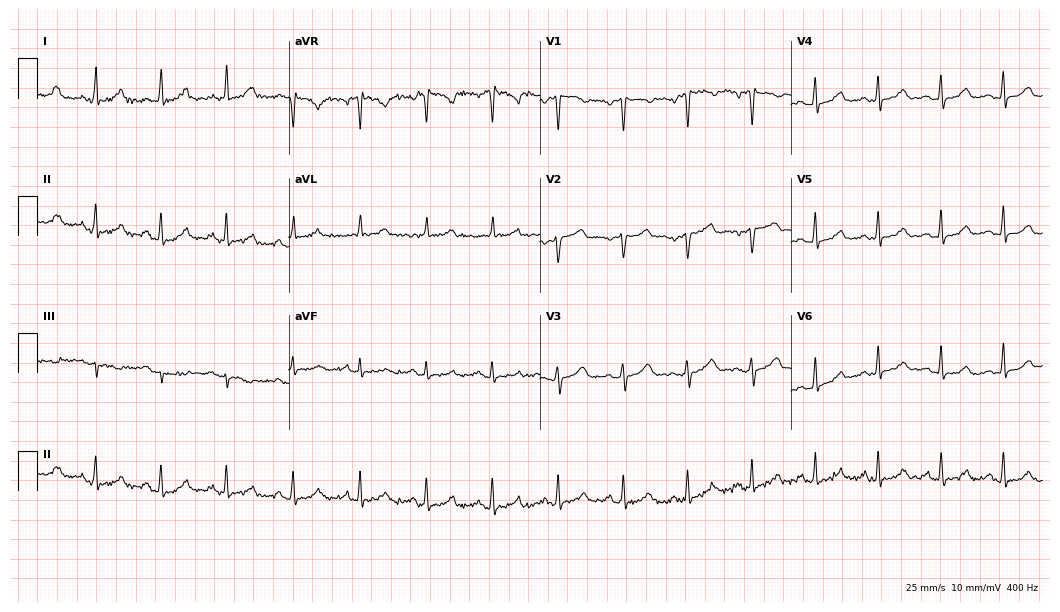
ECG — a female patient, 51 years old. Screened for six findings — first-degree AV block, right bundle branch block, left bundle branch block, sinus bradycardia, atrial fibrillation, sinus tachycardia — none is recorded. Only these six findings were labelled.